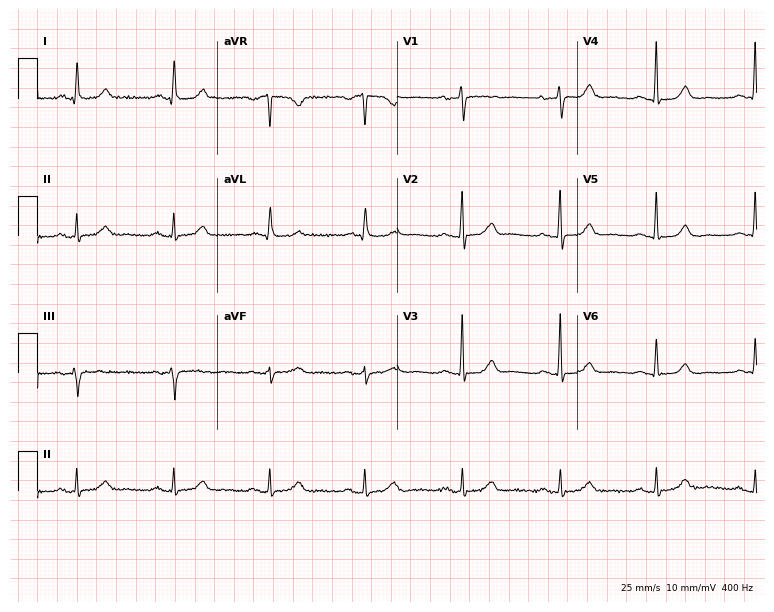
Standard 12-lead ECG recorded from a woman, 67 years old. Read as a normal ECG.